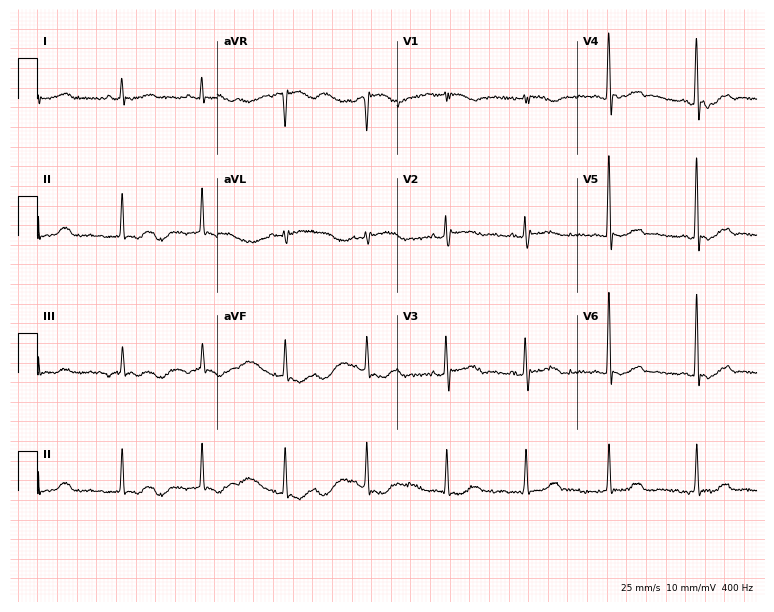
Standard 12-lead ECG recorded from a female patient, 69 years old. None of these six findings is recorded: first-degree AV block, right bundle branch block, left bundle branch block, sinus bradycardia, atrial fibrillation, sinus tachycardia.